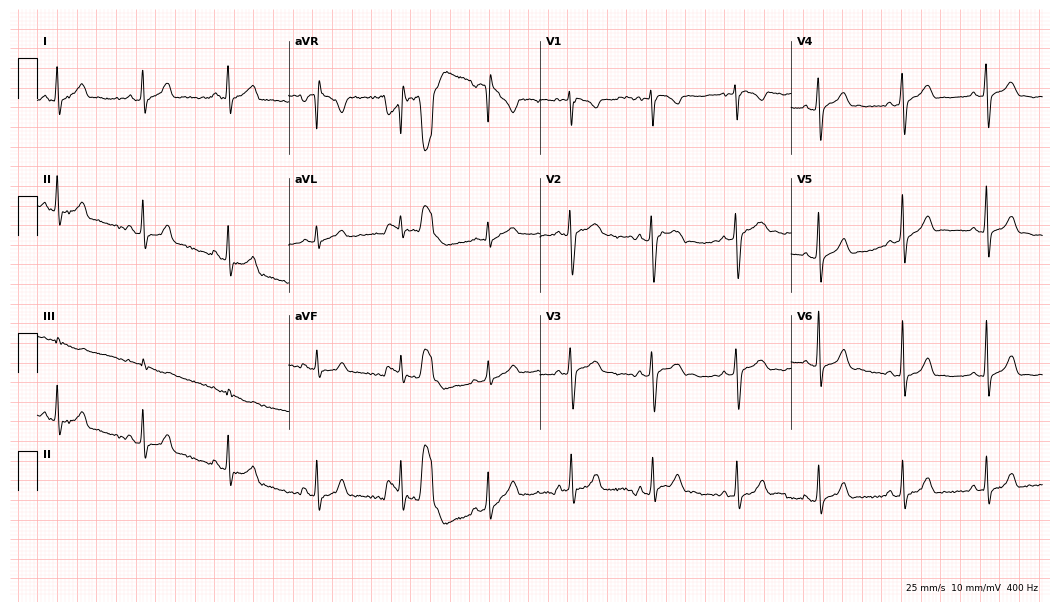
Resting 12-lead electrocardiogram. Patient: a man, 22 years old. Read as a normal ECG.